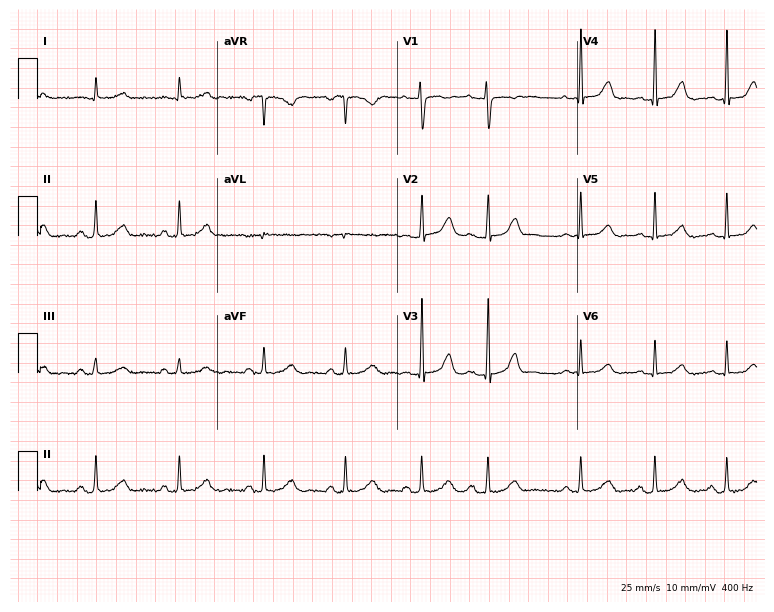
ECG — a 39-year-old female patient. Screened for six findings — first-degree AV block, right bundle branch block, left bundle branch block, sinus bradycardia, atrial fibrillation, sinus tachycardia — none is recorded. Other findings, if any, are not listed.